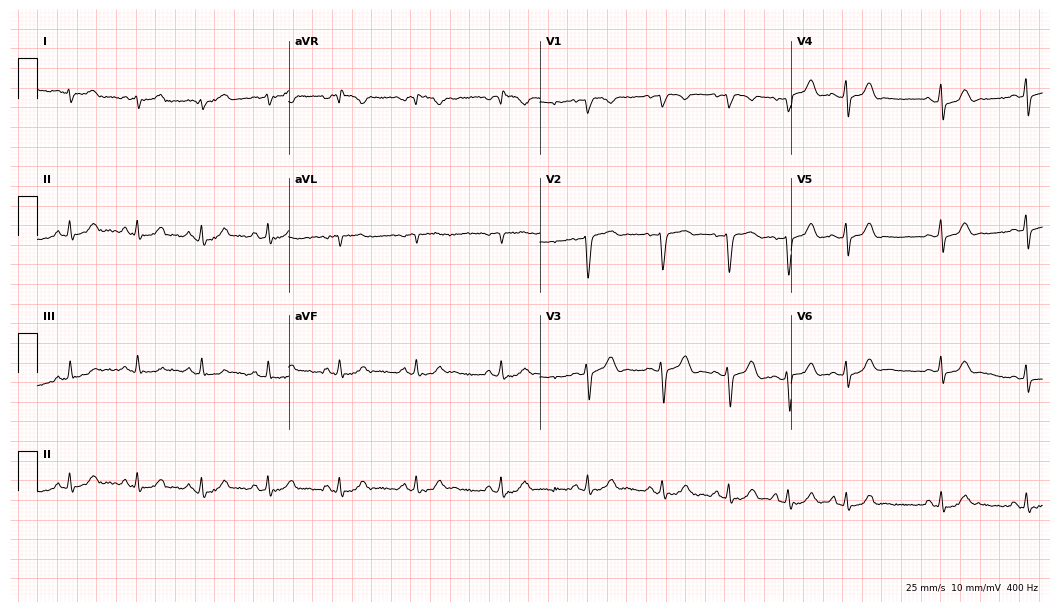
ECG (10.2-second recording at 400 Hz) — a 20-year-old female patient. Screened for six findings — first-degree AV block, right bundle branch block (RBBB), left bundle branch block (LBBB), sinus bradycardia, atrial fibrillation (AF), sinus tachycardia — none is recorded.